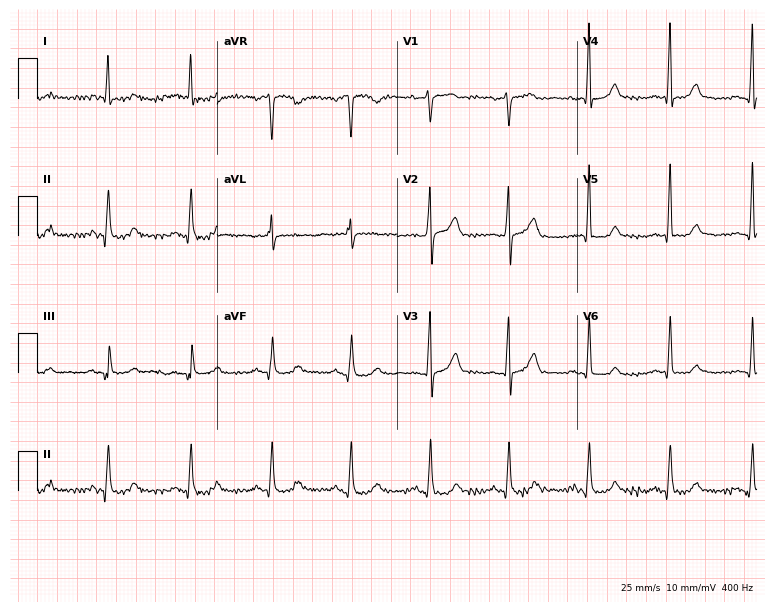
Standard 12-lead ECG recorded from a male patient, 58 years old. None of these six findings is recorded: first-degree AV block, right bundle branch block (RBBB), left bundle branch block (LBBB), sinus bradycardia, atrial fibrillation (AF), sinus tachycardia. Only these six findings were labelled.